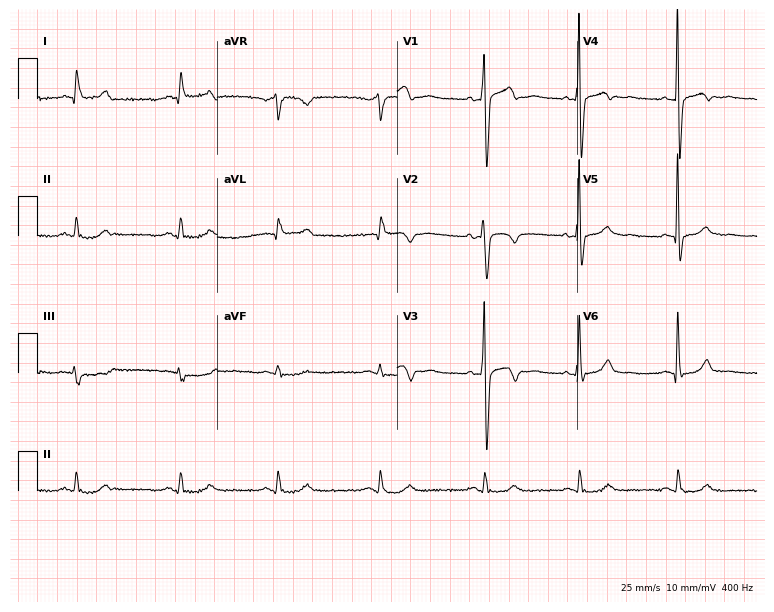
12-lead ECG from a 51-year-old male patient. Screened for six findings — first-degree AV block, right bundle branch block, left bundle branch block, sinus bradycardia, atrial fibrillation, sinus tachycardia — none is recorded.